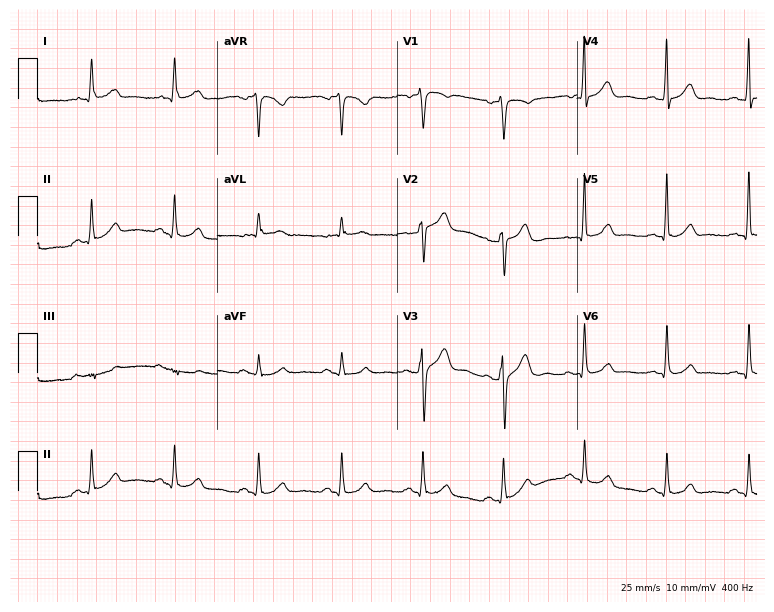
Resting 12-lead electrocardiogram (7.3-second recording at 400 Hz). Patient: a male, 47 years old. Read as a normal ECG.